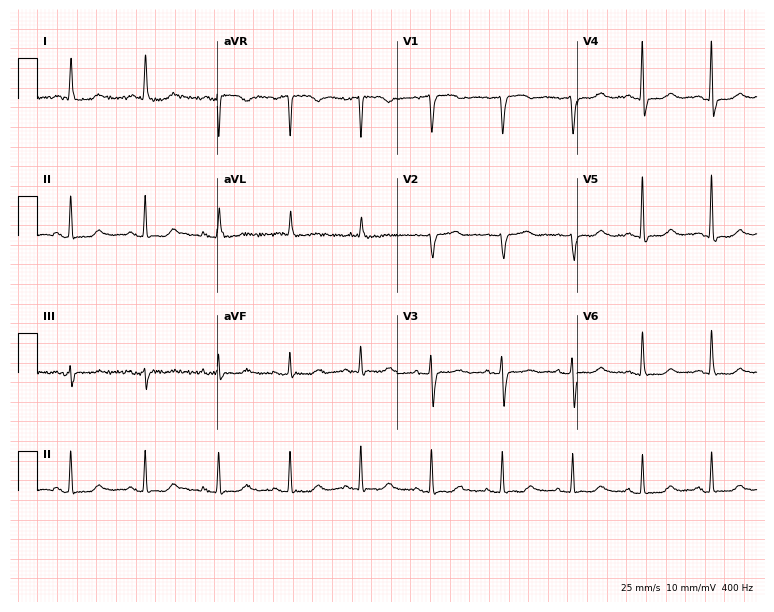
ECG — an 82-year-old female patient. Screened for six findings — first-degree AV block, right bundle branch block, left bundle branch block, sinus bradycardia, atrial fibrillation, sinus tachycardia — none is recorded.